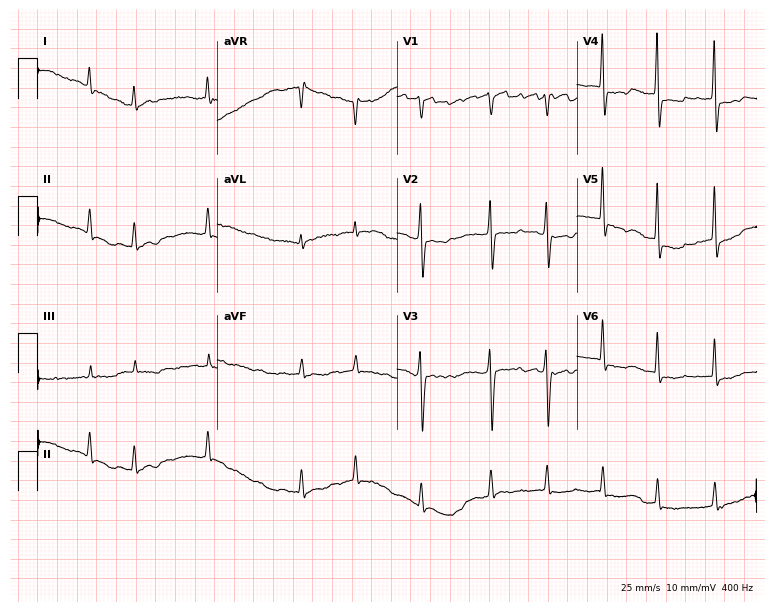
12-lead ECG from an 85-year-old woman (7.3-second recording at 400 Hz). Shows atrial fibrillation.